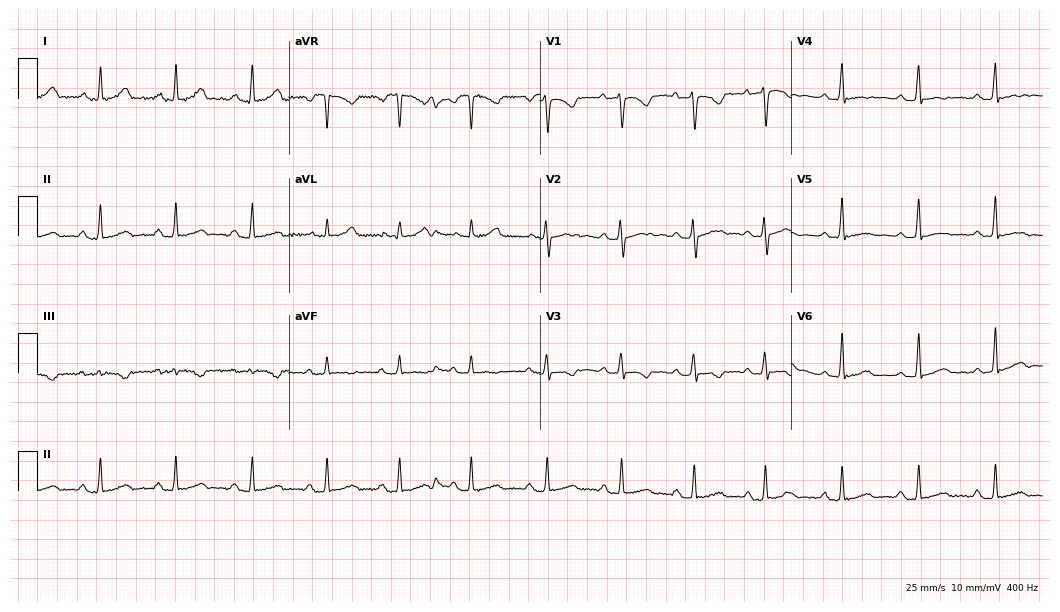
Resting 12-lead electrocardiogram. Patient: a female, 33 years old. Read as a normal ECG.